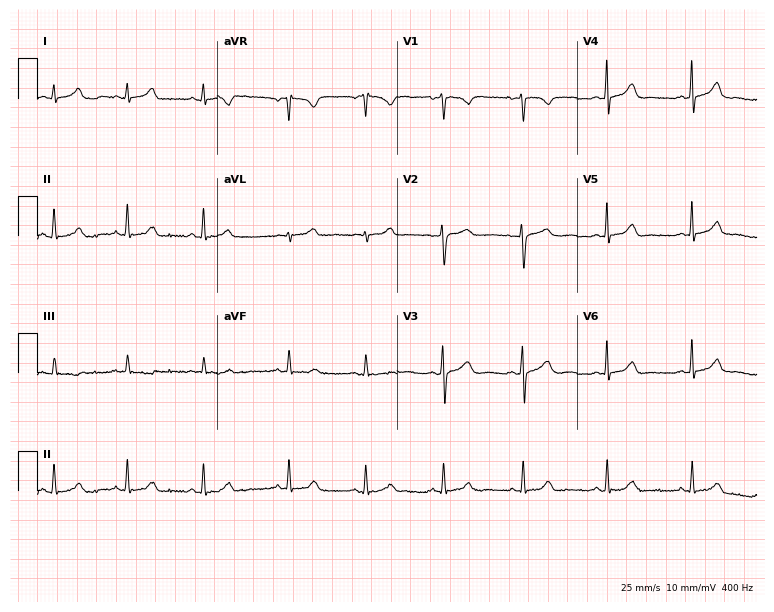
Resting 12-lead electrocardiogram. Patient: a female, 31 years old. Read as a normal ECG.